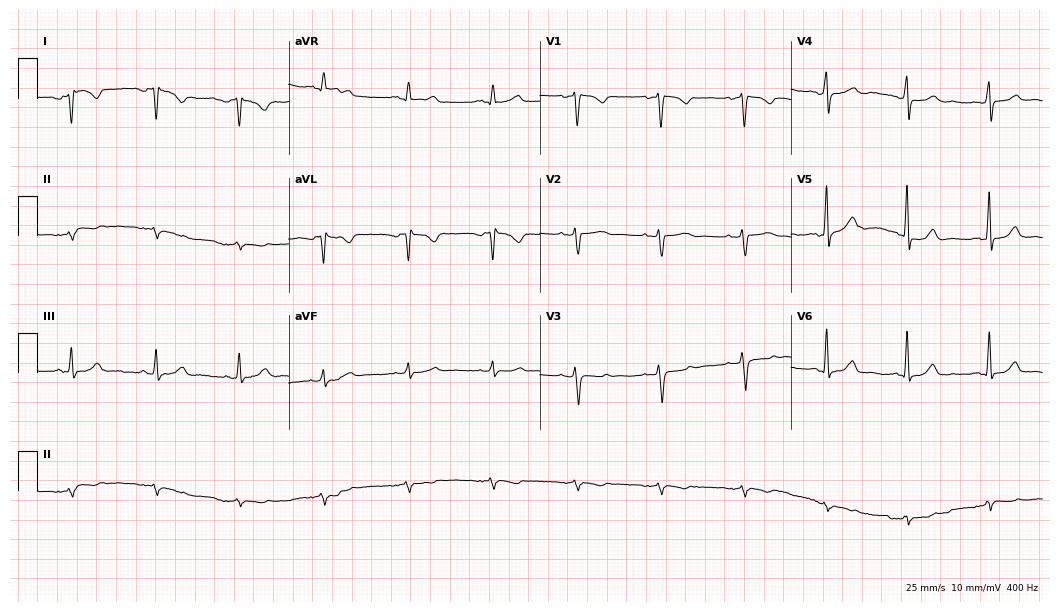
12-lead ECG from a female patient, 45 years old (10.2-second recording at 400 Hz). No first-degree AV block, right bundle branch block, left bundle branch block, sinus bradycardia, atrial fibrillation or sinus tachycardia recorded for this tracing. Only these six findings were labelled.